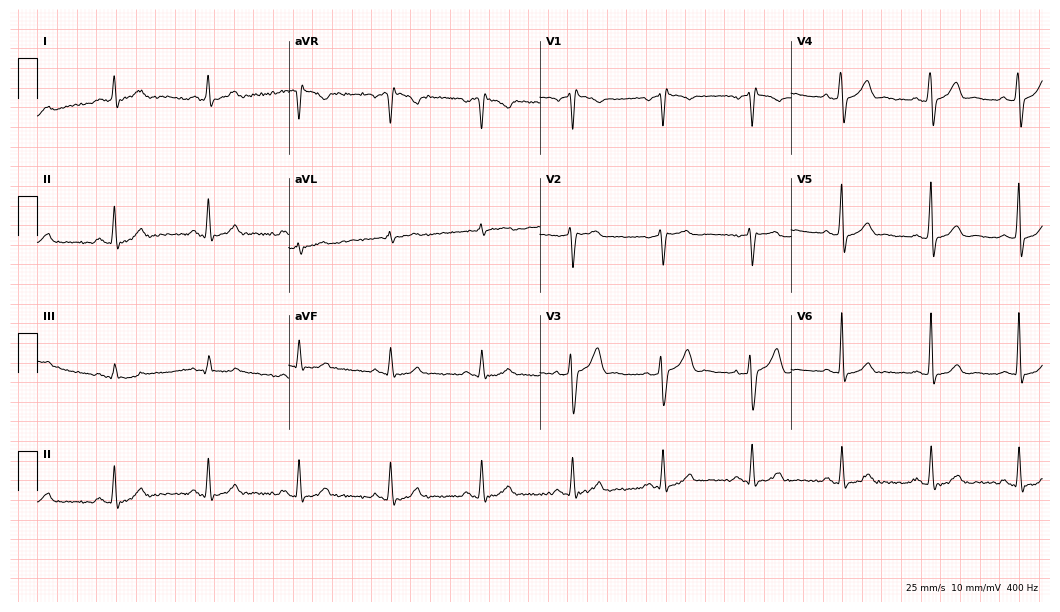
Electrocardiogram (10.2-second recording at 400 Hz), a 41-year-old male. Of the six screened findings (first-degree AV block, right bundle branch block, left bundle branch block, sinus bradycardia, atrial fibrillation, sinus tachycardia), none is recorded. Only these six findings were labelled.